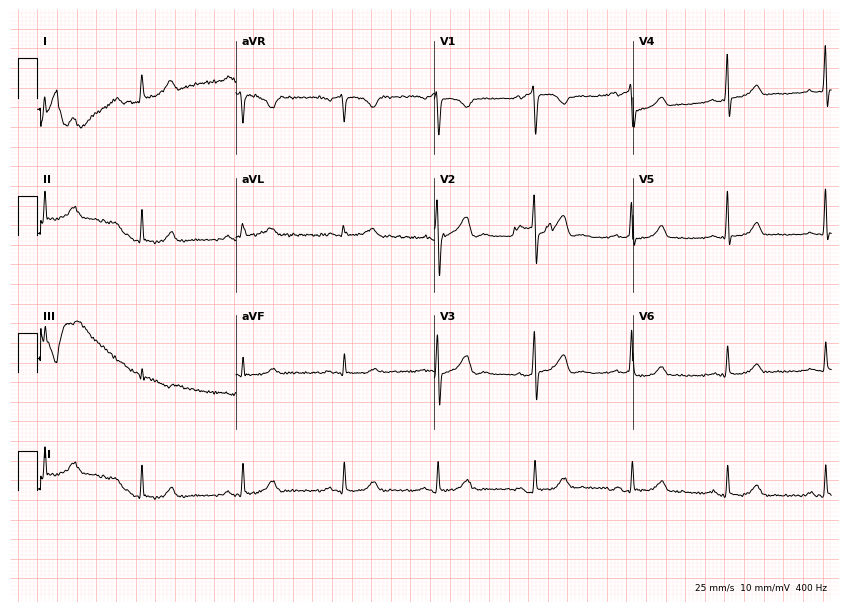
12-lead ECG from a 50-year-old woman. No first-degree AV block, right bundle branch block (RBBB), left bundle branch block (LBBB), sinus bradycardia, atrial fibrillation (AF) or sinus tachycardia recorded for this tracing.